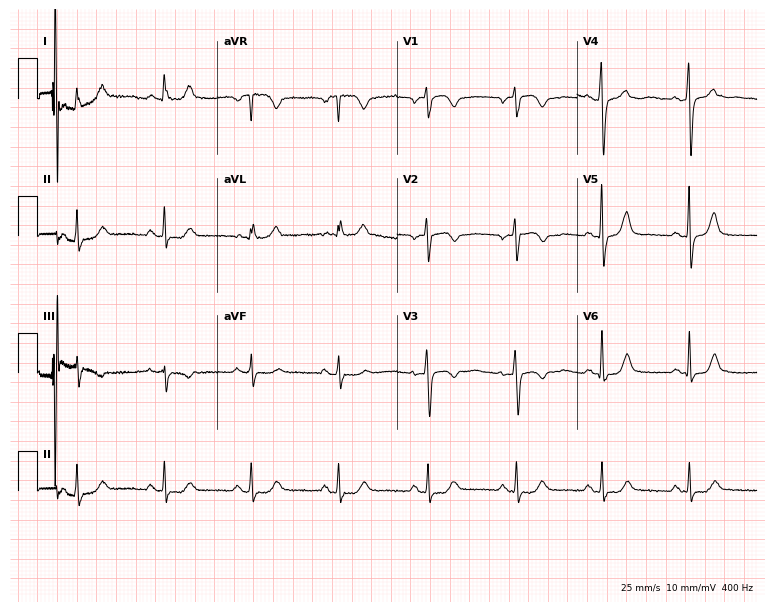
12-lead ECG (7.3-second recording at 400 Hz) from a 65-year-old female. Labelled as a normal ECG.